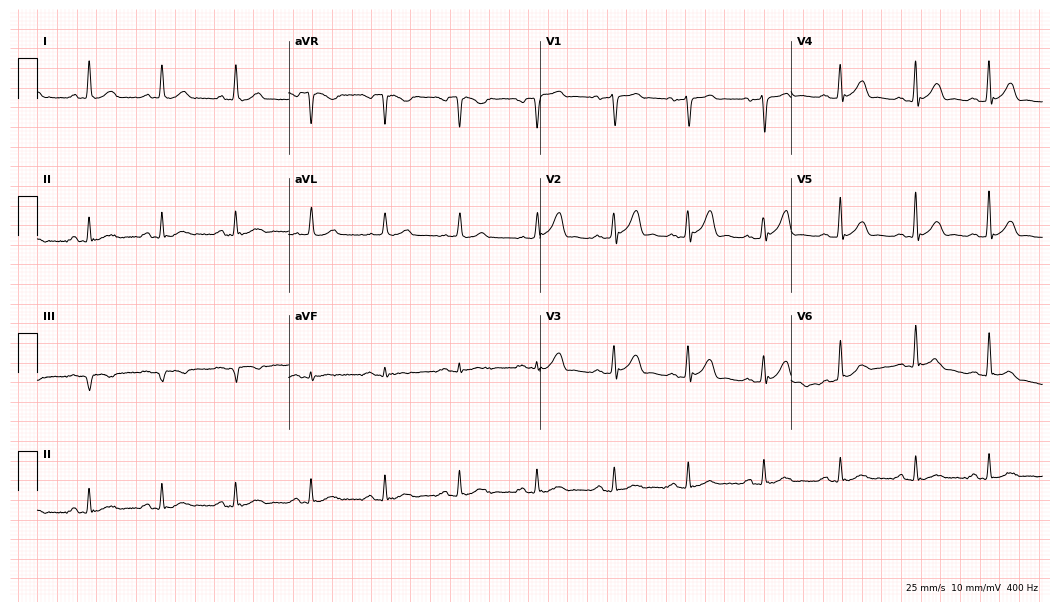
Electrocardiogram (10.2-second recording at 400 Hz), a man, 42 years old. Overall reading on record: normal ECG.